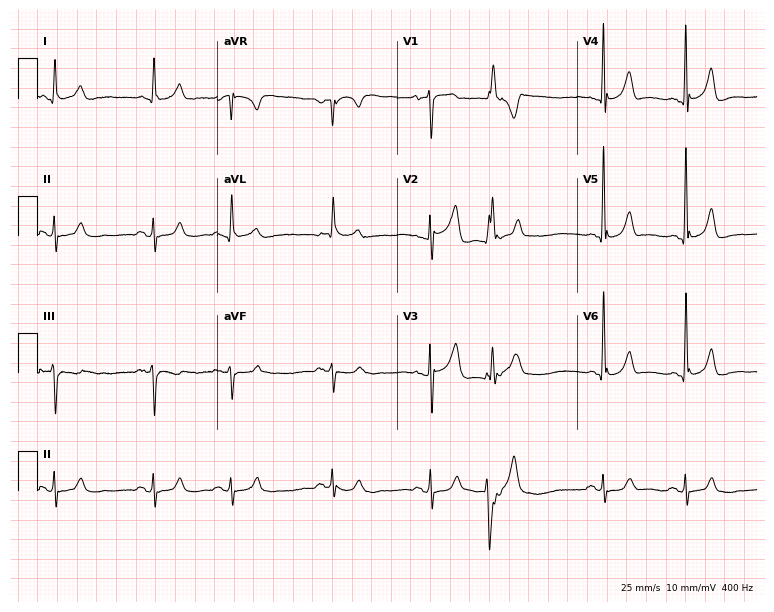
Standard 12-lead ECG recorded from a 68-year-old man (7.3-second recording at 400 Hz). None of these six findings is recorded: first-degree AV block, right bundle branch block, left bundle branch block, sinus bradycardia, atrial fibrillation, sinus tachycardia. Only these six findings were labelled.